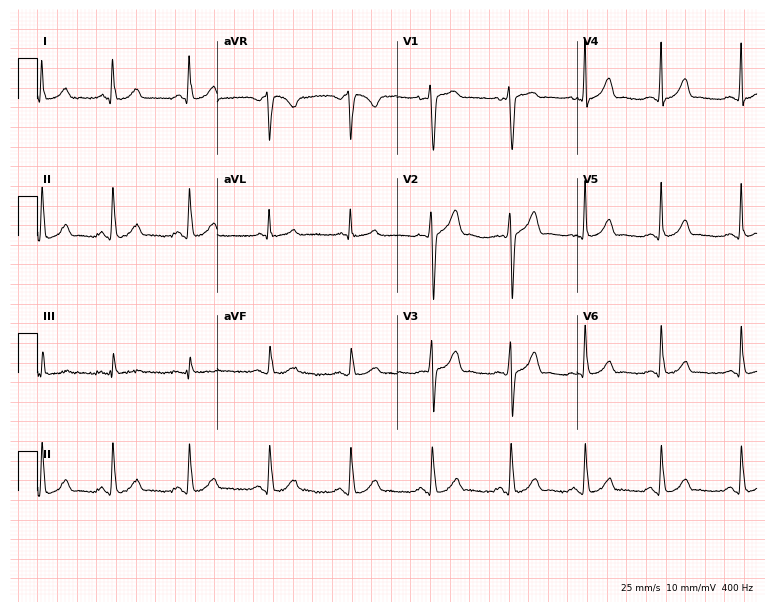
Standard 12-lead ECG recorded from a female, 31 years old (7.3-second recording at 400 Hz). None of these six findings is recorded: first-degree AV block, right bundle branch block, left bundle branch block, sinus bradycardia, atrial fibrillation, sinus tachycardia.